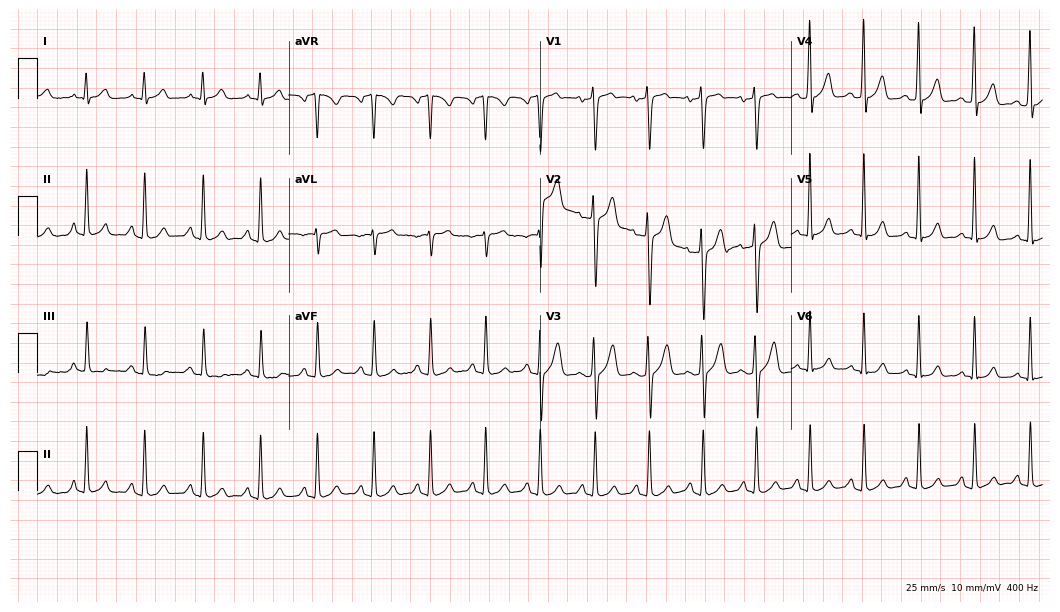
Standard 12-lead ECG recorded from a 25-year-old man (10.2-second recording at 400 Hz). The tracing shows sinus tachycardia (a sinus rate of 100 beats per minute or more).